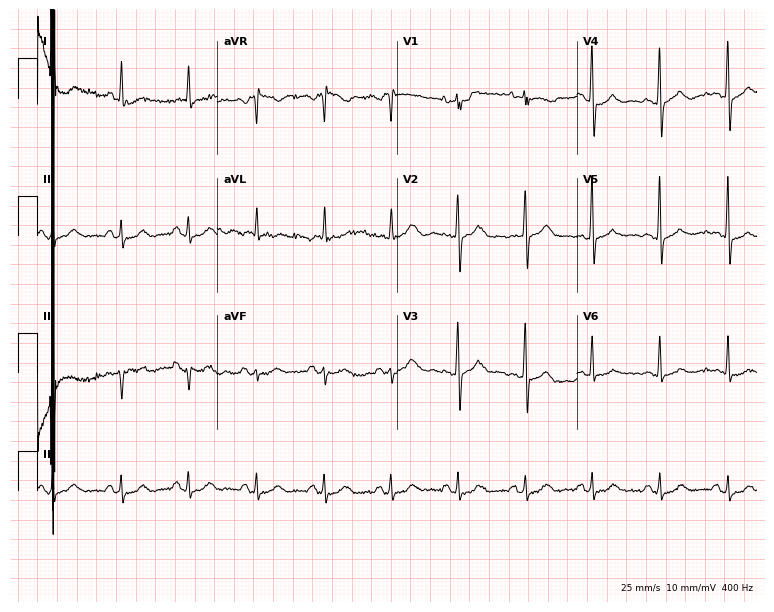
Standard 12-lead ECG recorded from a 77-year-old woman. None of these six findings is recorded: first-degree AV block, right bundle branch block (RBBB), left bundle branch block (LBBB), sinus bradycardia, atrial fibrillation (AF), sinus tachycardia.